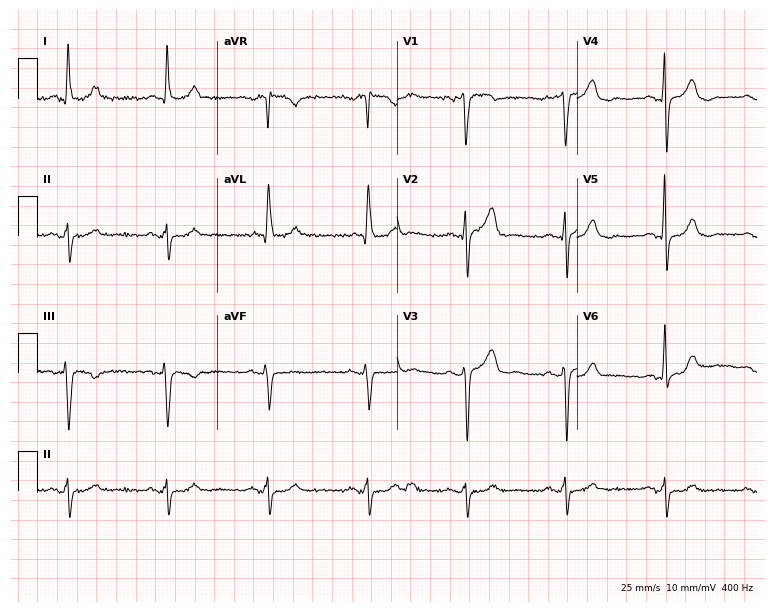
Electrocardiogram (7.3-second recording at 400 Hz), a female patient, 76 years old. Of the six screened findings (first-degree AV block, right bundle branch block, left bundle branch block, sinus bradycardia, atrial fibrillation, sinus tachycardia), none is recorded.